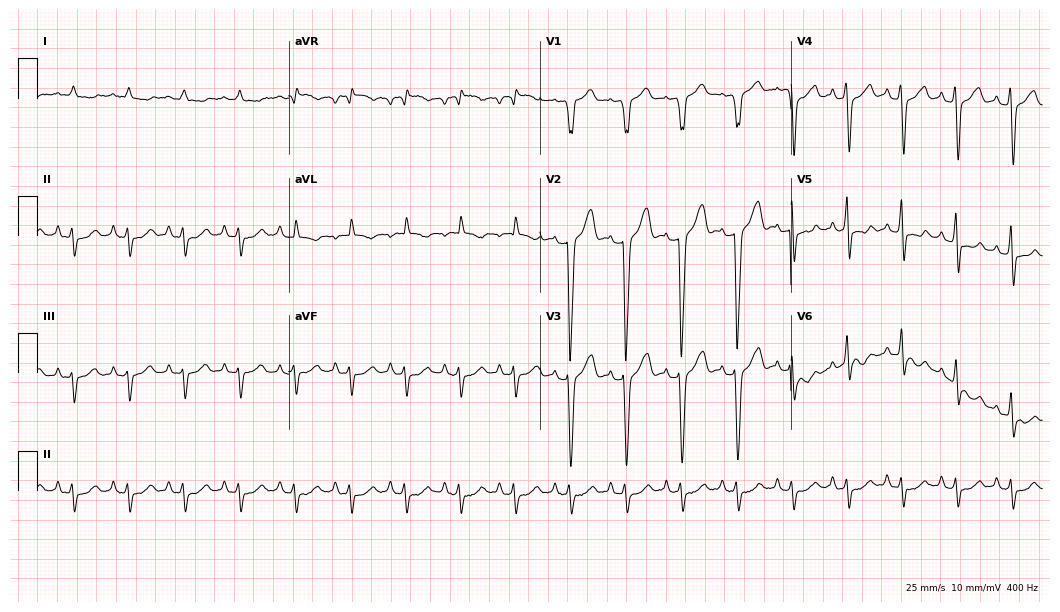
12-lead ECG from a man, 83 years old (10.2-second recording at 400 Hz). Shows sinus tachycardia (a sinus rate of 100 beats per minute or more).